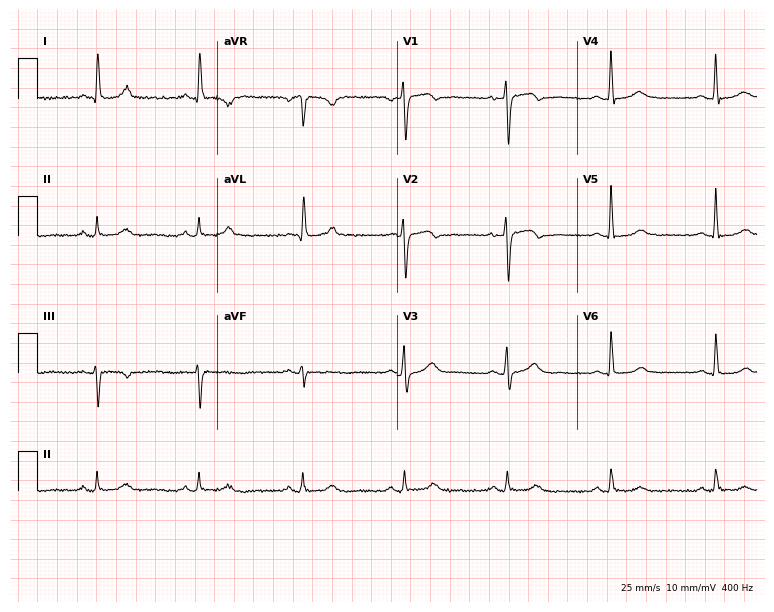
Resting 12-lead electrocardiogram (7.3-second recording at 400 Hz). Patient: a 70-year-old woman. Read as a normal ECG.